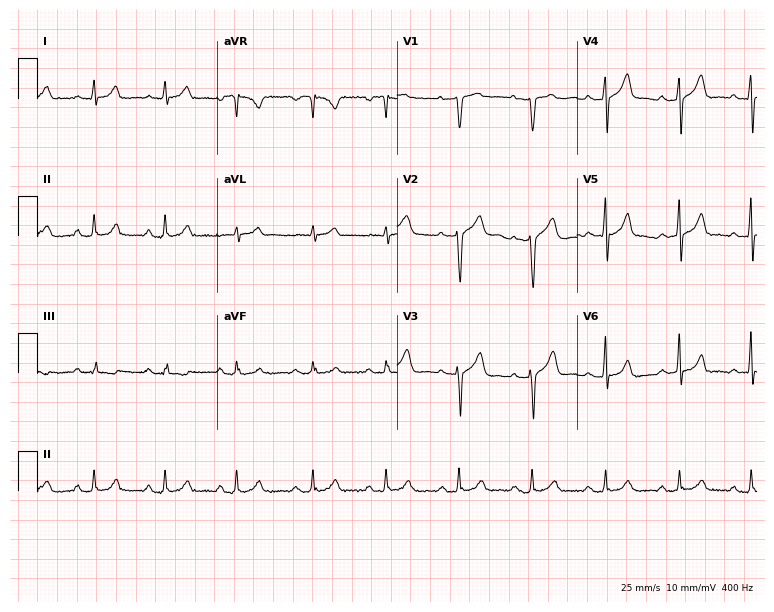
ECG (7.3-second recording at 400 Hz) — a male, 47 years old. Screened for six findings — first-degree AV block, right bundle branch block, left bundle branch block, sinus bradycardia, atrial fibrillation, sinus tachycardia — none is recorded.